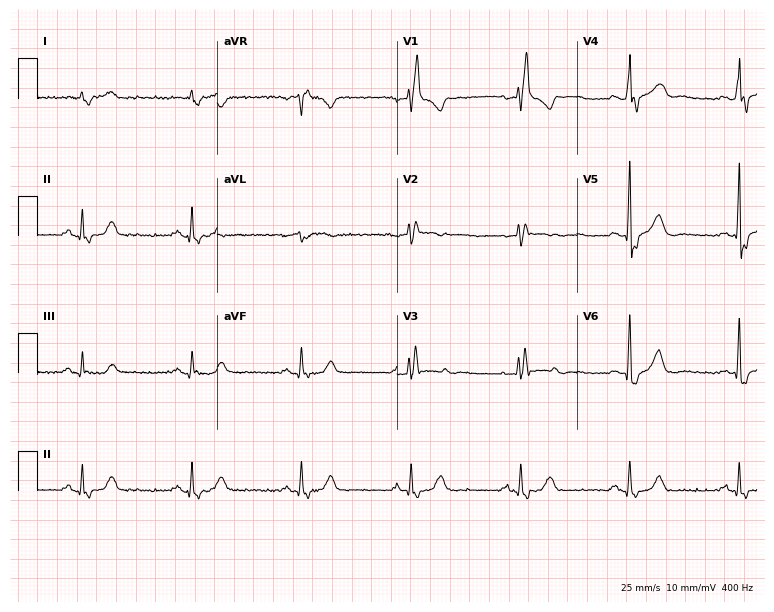
Electrocardiogram (7.3-second recording at 400 Hz), a male patient, 82 years old. Of the six screened findings (first-degree AV block, right bundle branch block (RBBB), left bundle branch block (LBBB), sinus bradycardia, atrial fibrillation (AF), sinus tachycardia), none is recorded.